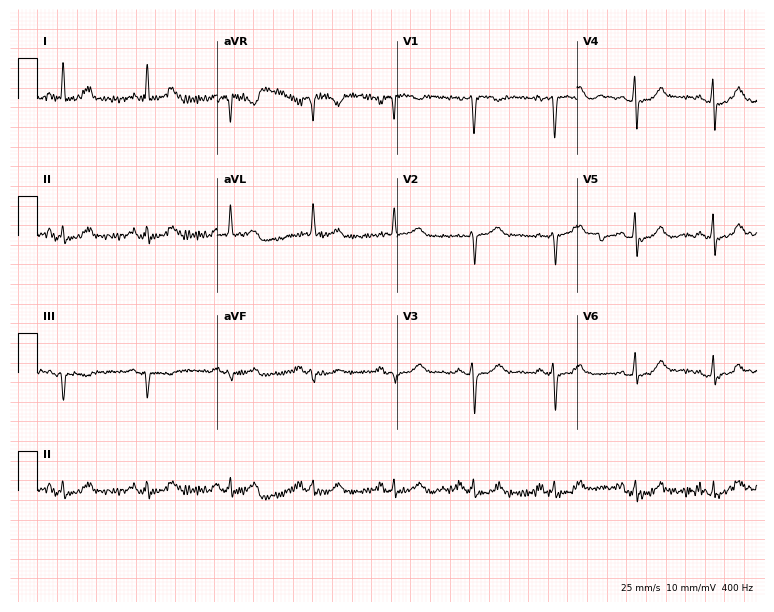
12-lead ECG from a woman, 53 years old (7.3-second recording at 400 Hz). Recorded interpretation: within normal limits.